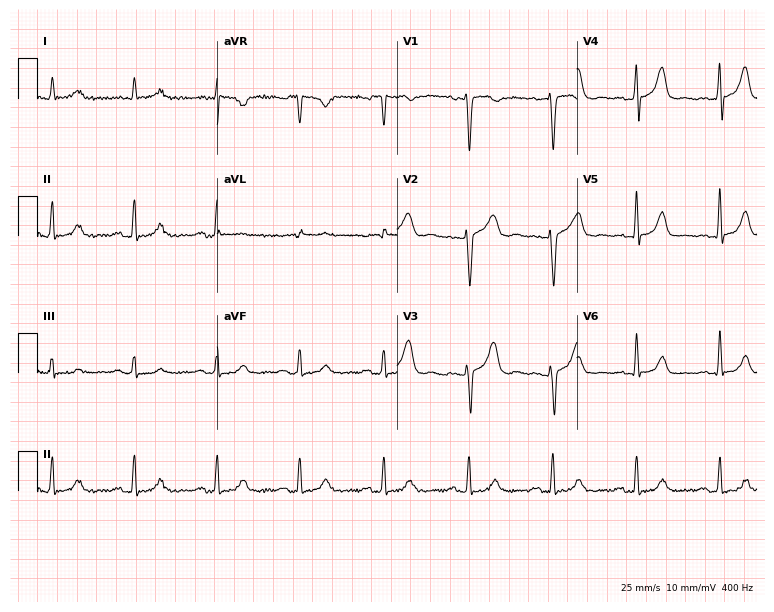
Electrocardiogram, a 61-year-old male patient. Overall reading on record: normal ECG.